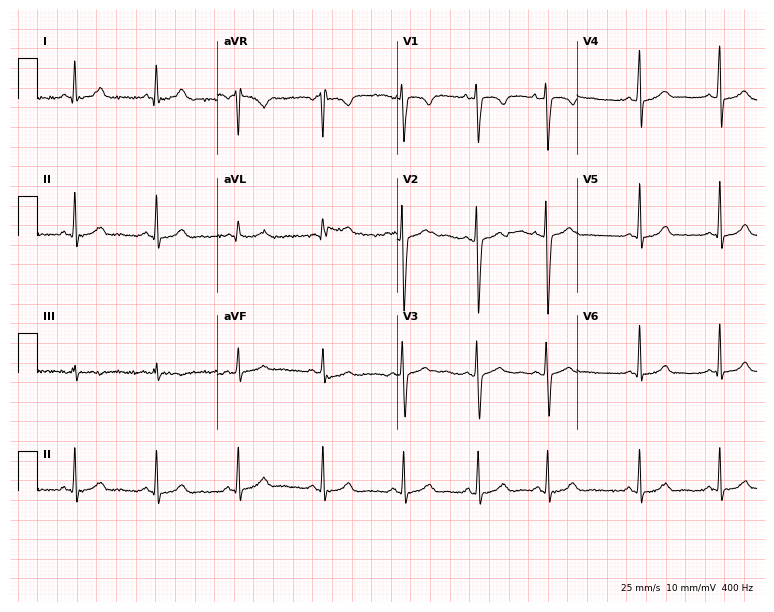
Electrocardiogram, a 17-year-old female patient. Overall reading on record: normal ECG.